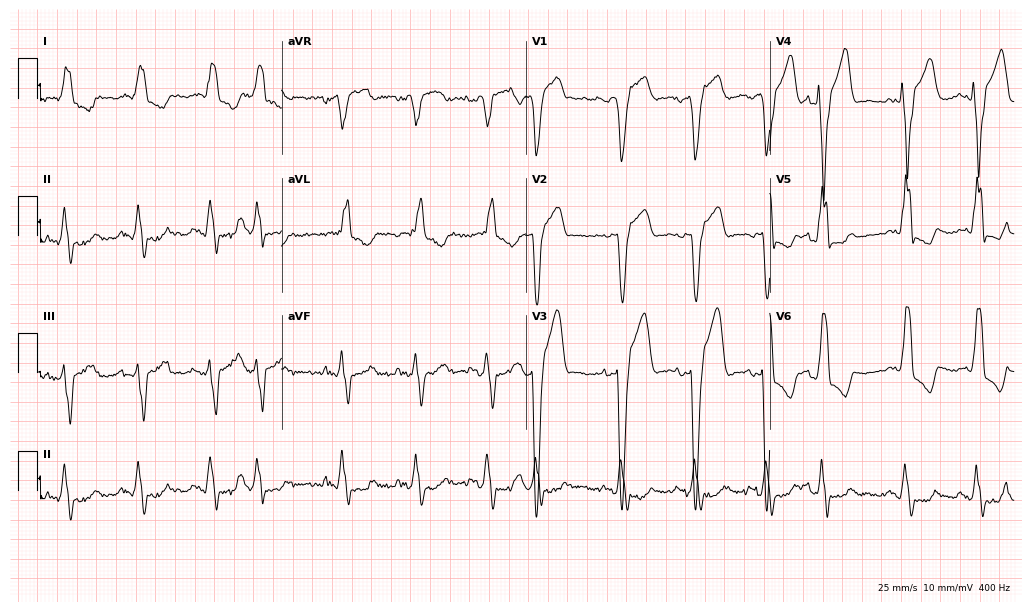
Resting 12-lead electrocardiogram (10-second recording at 400 Hz). Patient: an 84-year-old female. The tracing shows left bundle branch block.